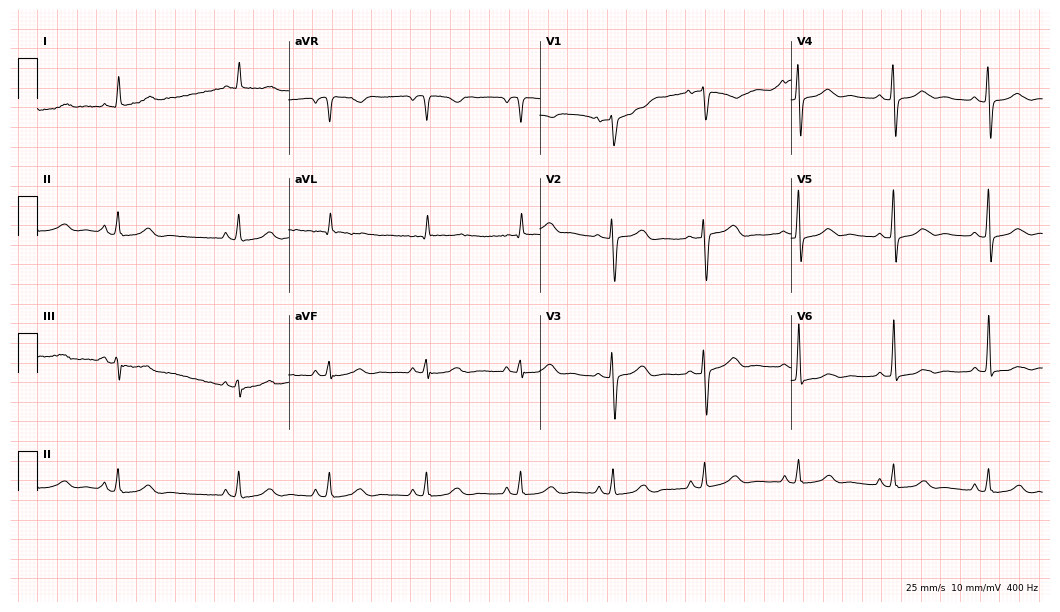
Electrocardiogram (10.2-second recording at 400 Hz), a 50-year-old female. Of the six screened findings (first-degree AV block, right bundle branch block (RBBB), left bundle branch block (LBBB), sinus bradycardia, atrial fibrillation (AF), sinus tachycardia), none is recorded.